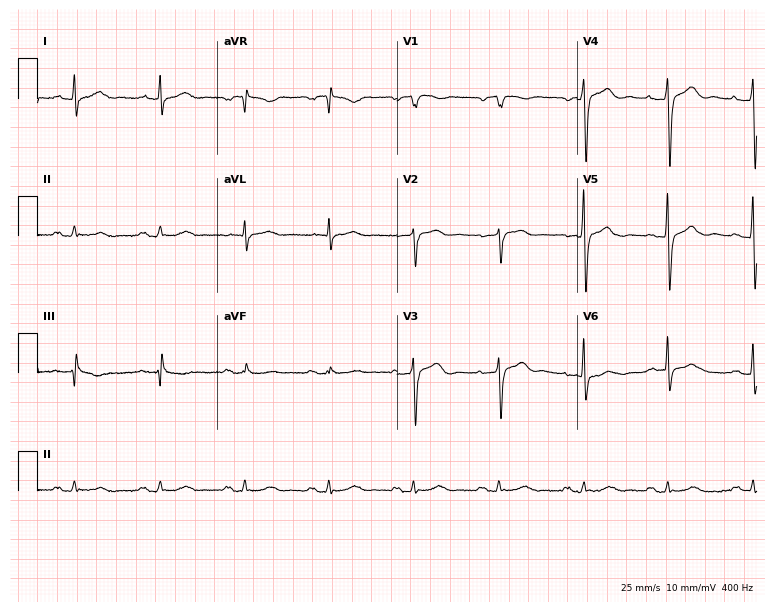
Electrocardiogram, a 67-year-old male patient. Of the six screened findings (first-degree AV block, right bundle branch block (RBBB), left bundle branch block (LBBB), sinus bradycardia, atrial fibrillation (AF), sinus tachycardia), none is recorded. Other findings, if any, are not listed.